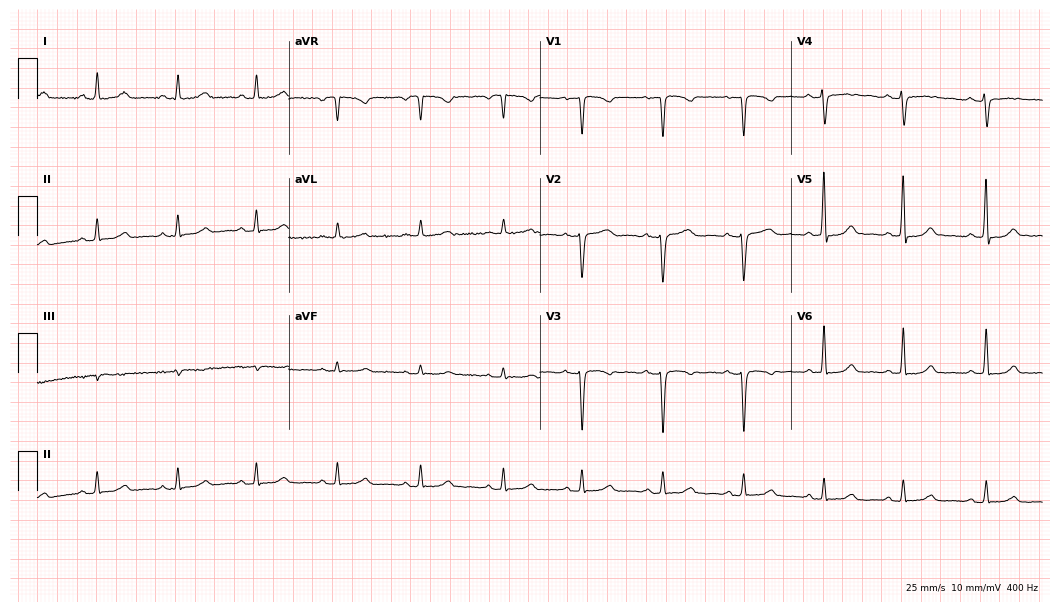
Standard 12-lead ECG recorded from a 45-year-old woman. Read as a normal ECG.